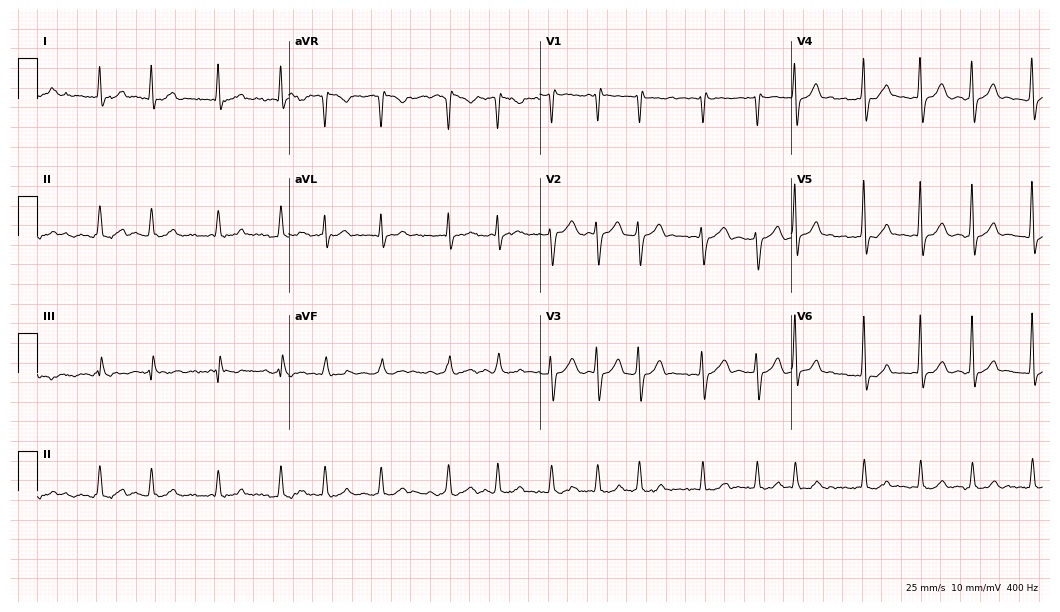
ECG — a male patient, 68 years old. Findings include atrial fibrillation.